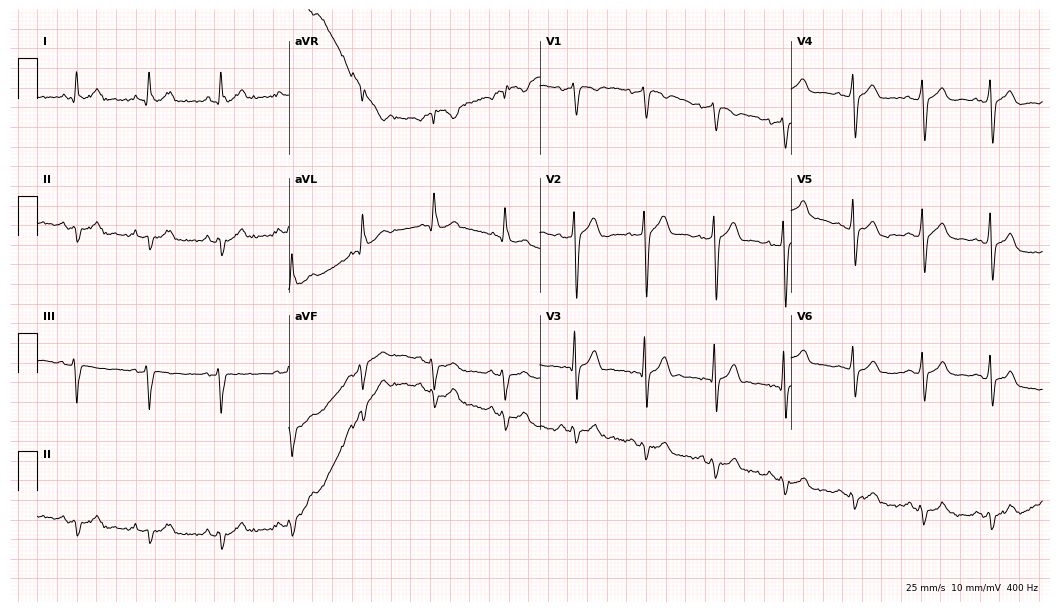
Resting 12-lead electrocardiogram. Patient: a man, 45 years old. None of these six findings is recorded: first-degree AV block, right bundle branch block, left bundle branch block, sinus bradycardia, atrial fibrillation, sinus tachycardia.